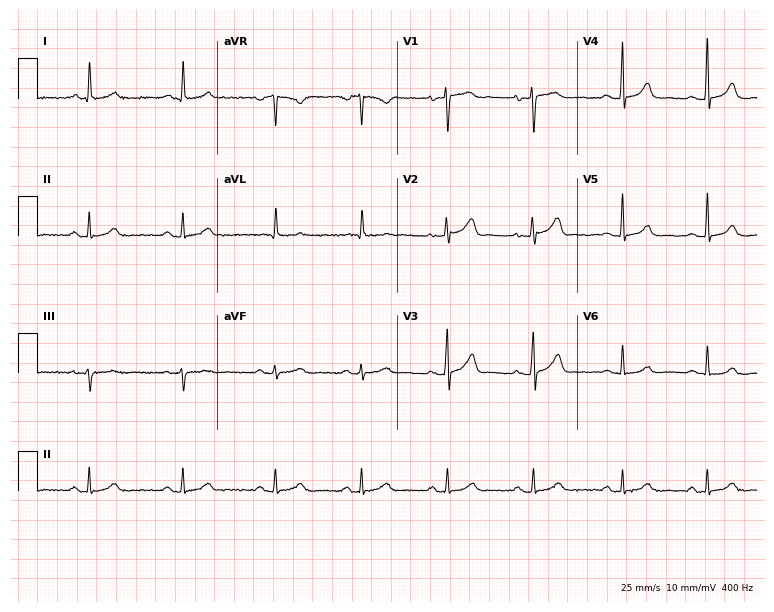
12-lead ECG from a female patient, 41 years old. No first-degree AV block, right bundle branch block (RBBB), left bundle branch block (LBBB), sinus bradycardia, atrial fibrillation (AF) or sinus tachycardia recorded for this tracing.